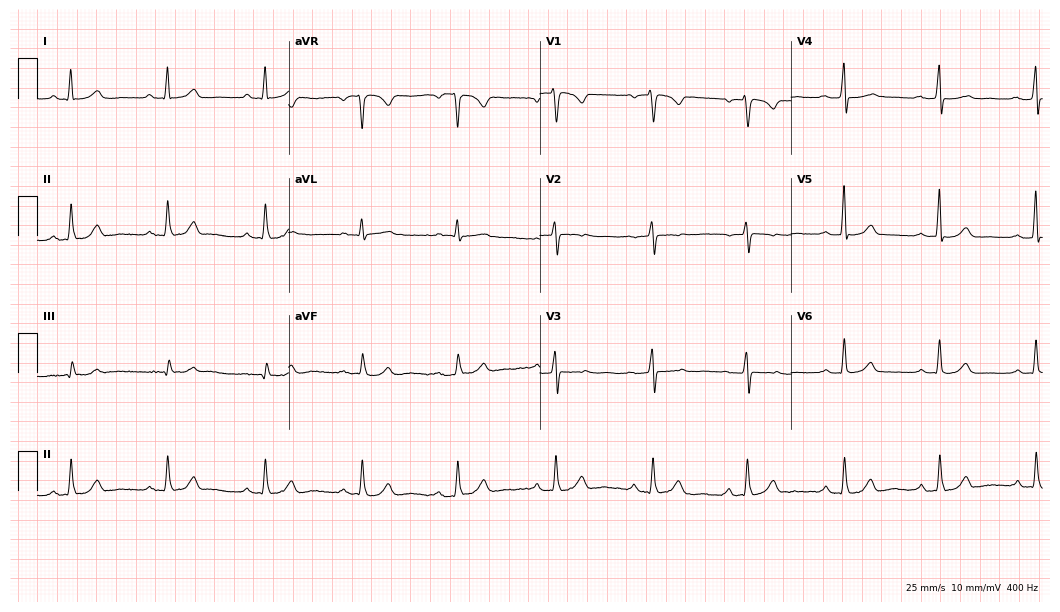
12-lead ECG from a 51-year-old female. Labelled as a normal ECG.